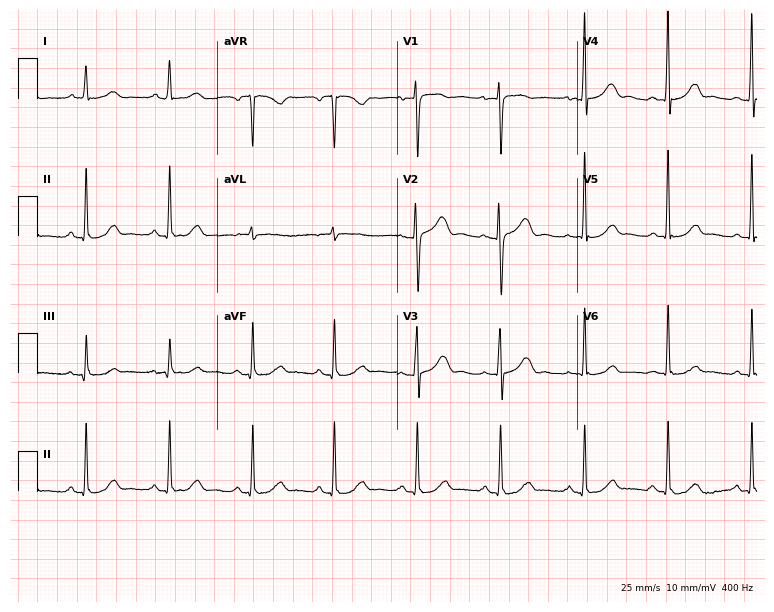
Resting 12-lead electrocardiogram. Patient: an 83-year-old female. Read as a normal ECG.